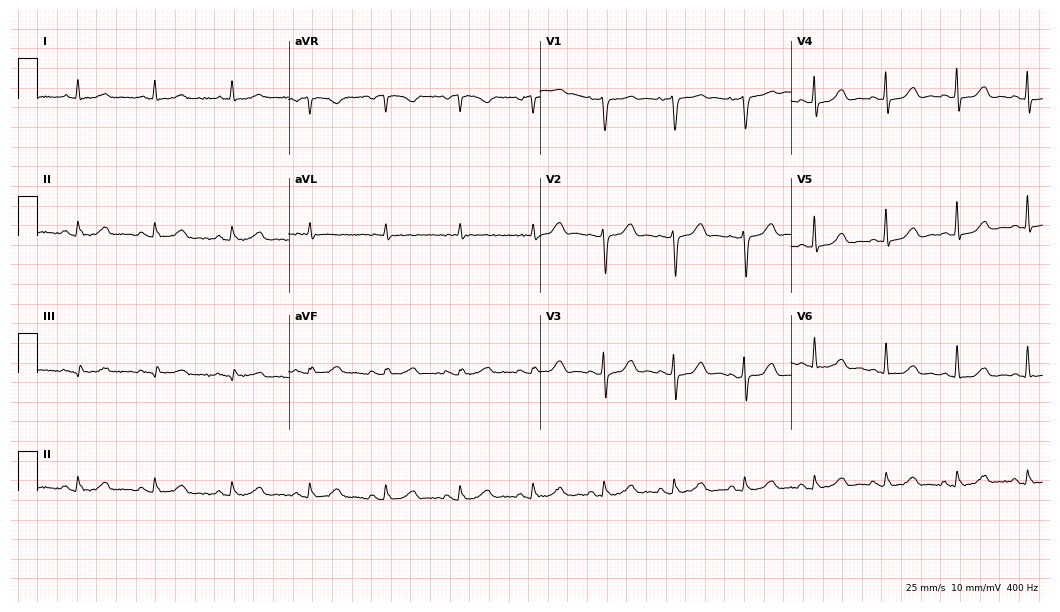
Electrocardiogram, a woman, 66 years old. Overall reading on record: normal ECG.